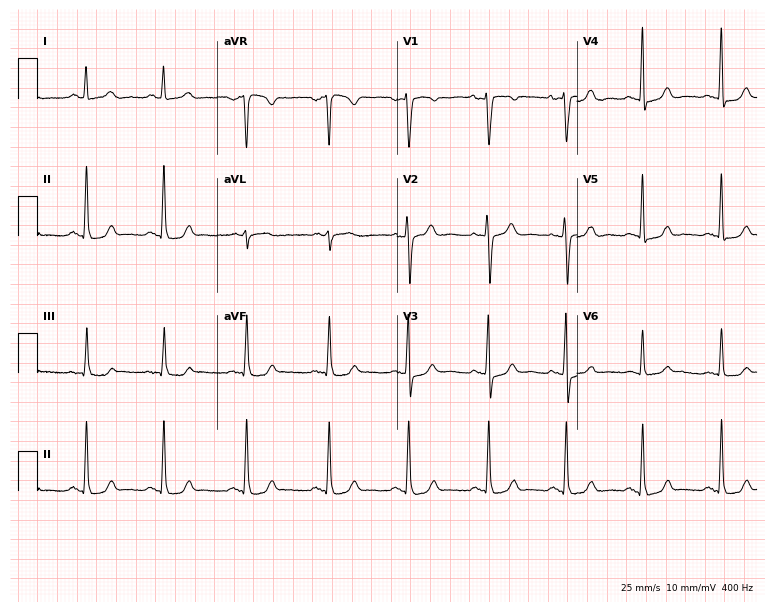
Resting 12-lead electrocardiogram. Patient: a 49-year-old female. Read as a normal ECG.